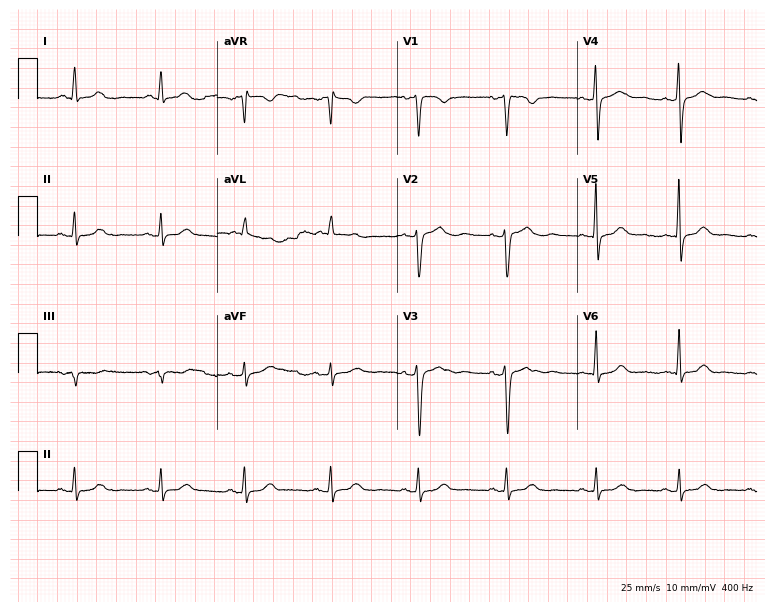
Standard 12-lead ECG recorded from a woman, 38 years old. Read as a normal ECG.